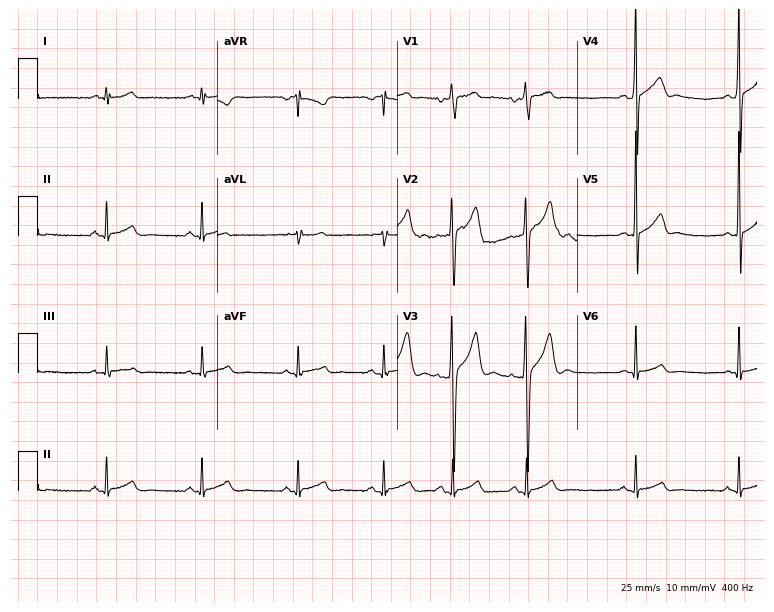
Electrocardiogram, a 17-year-old male patient. Of the six screened findings (first-degree AV block, right bundle branch block (RBBB), left bundle branch block (LBBB), sinus bradycardia, atrial fibrillation (AF), sinus tachycardia), none is recorded.